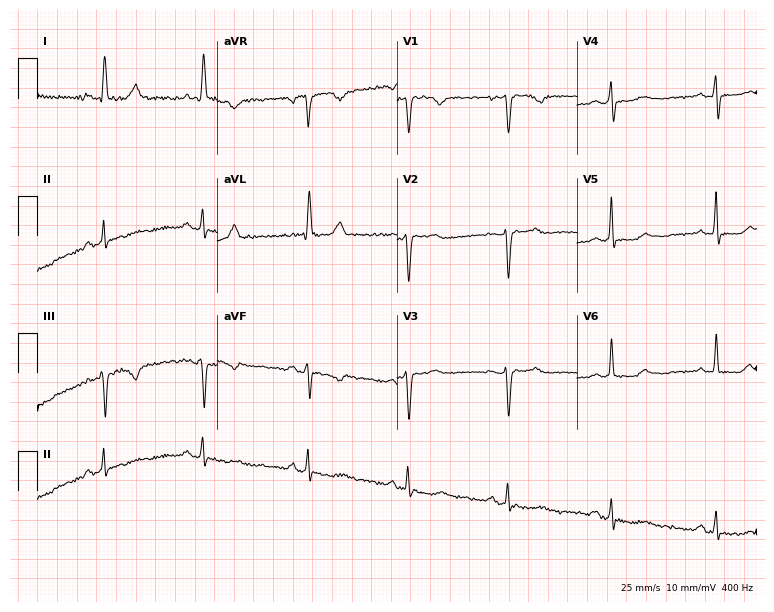
ECG (7.3-second recording at 400 Hz) — a 69-year-old female patient. Screened for six findings — first-degree AV block, right bundle branch block, left bundle branch block, sinus bradycardia, atrial fibrillation, sinus tachycardia — none is recorded. Only these six findings were labelled.